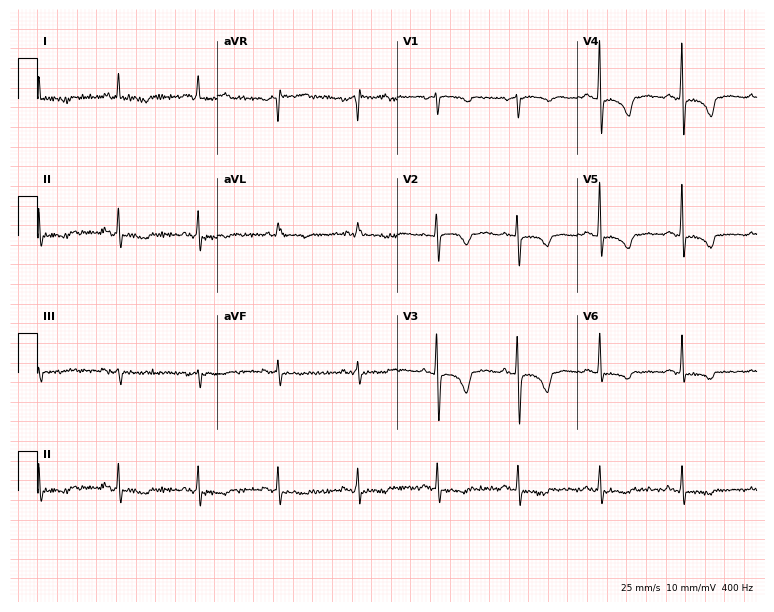
Resting 12-lead electrocardiogram. Patient: a 73-year-old female. None of these six findings is recorded: first-degree AV block, right bundle branch block, left bundle branch block, sinus bradycardia, atrial fibrillation, sinus tachycardia.